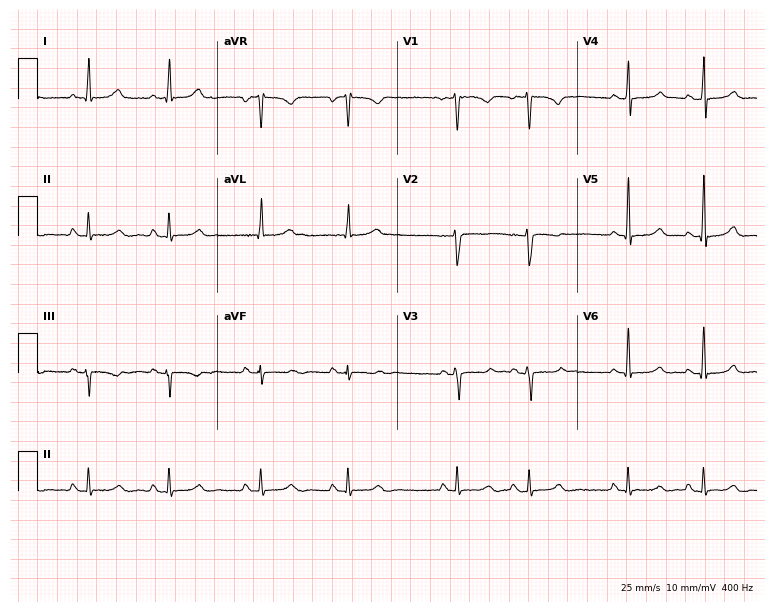
12-lead ECG from a 40-year-old female patient (7.3-second recording at 400 Hz). Recorded interpretation: within normal limits.